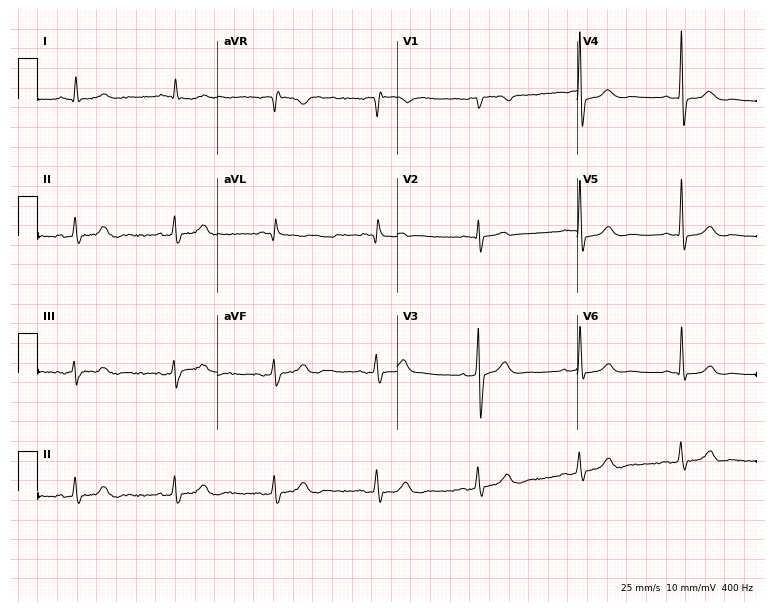
12-lead ECG from a male patient, 74 years old (7.3-second recording at 400 Hz). No first-degree AV block, right bundle branch block, left bundle branch block, sinus bradycardia, atrial fibrillation or sinus tachycardia recorded for this tracing. Other findings, if any, are not listed.